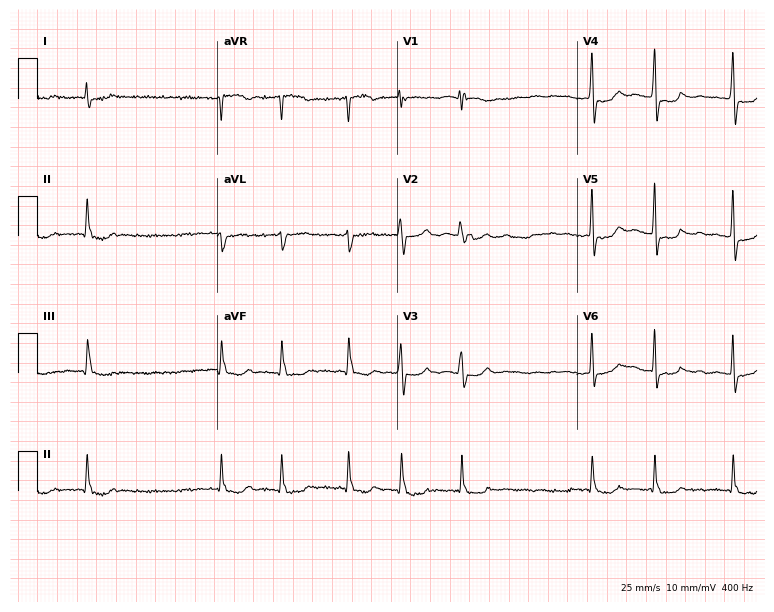
ECG — a 76-year-old female. Findings include atrial fibrillation.